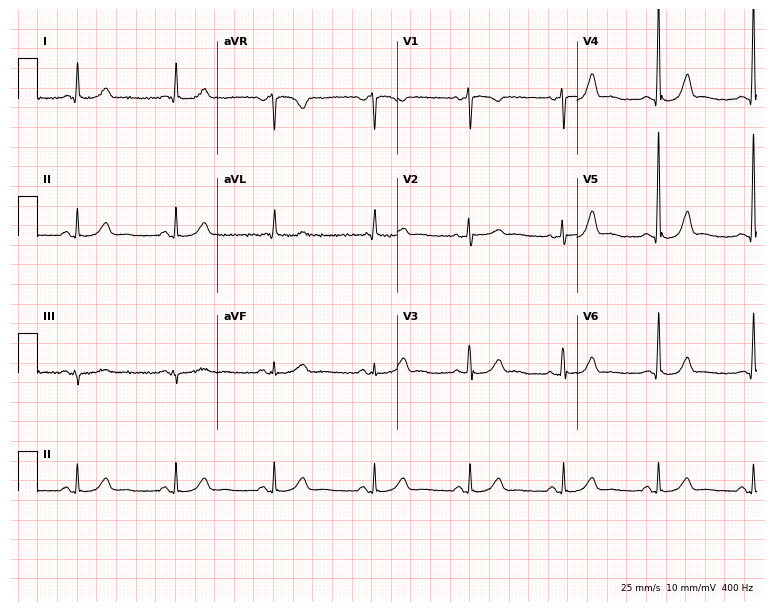
Resting 12-lead electrocardiogram. Patient: a 65-year-old female. Read as a normal ECG.